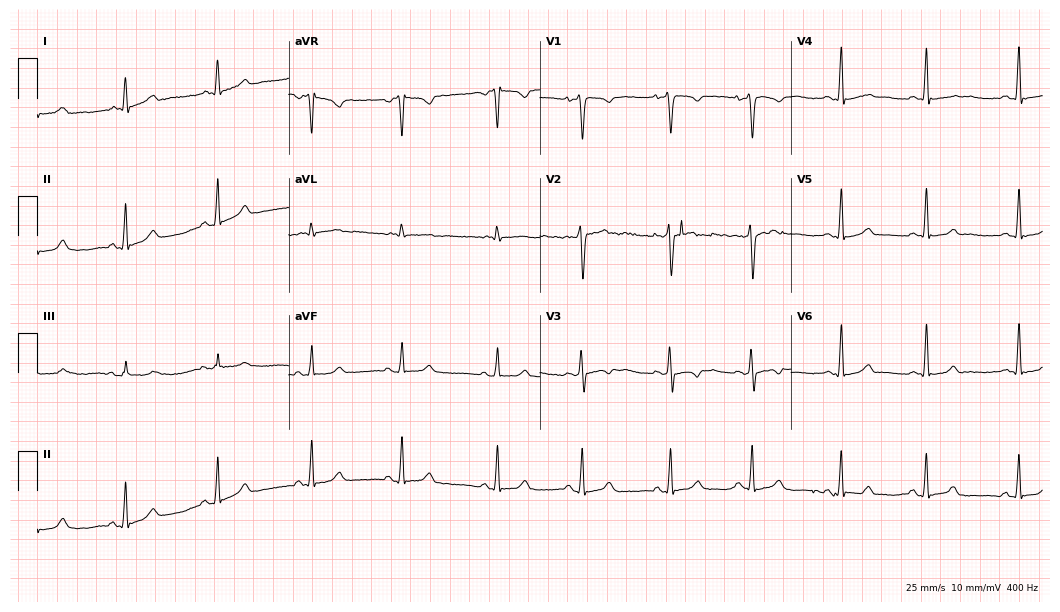
12-lead ECG (10.2-second recording at 400 Hz) from a female, 19 years old. Labelled as a normal ECG.